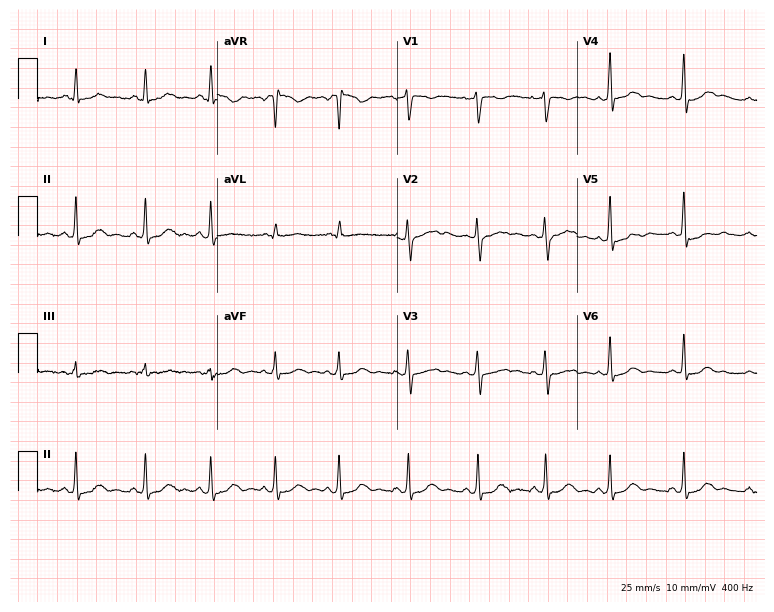
12-lead ECG from a 32-year-old female patient. Labelled as a normal ECG.